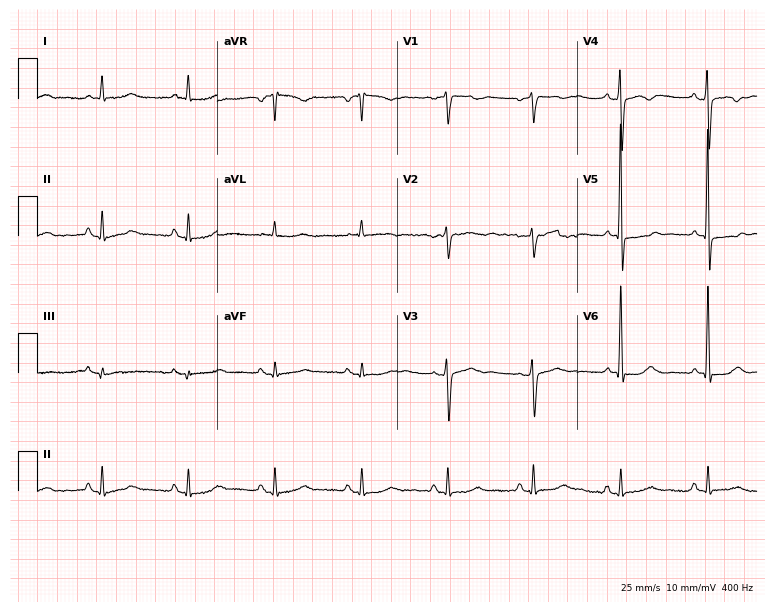
12-lead ECG from a 55-year-old male (7.3-second recording at 400 Hz). No first-degree AV block, right bundle branch block, left bundle branch block, sinus bradycardia, atrial fibrillation or sinus tachycardia recorded for this tracing. Findings outside these six are not listed.